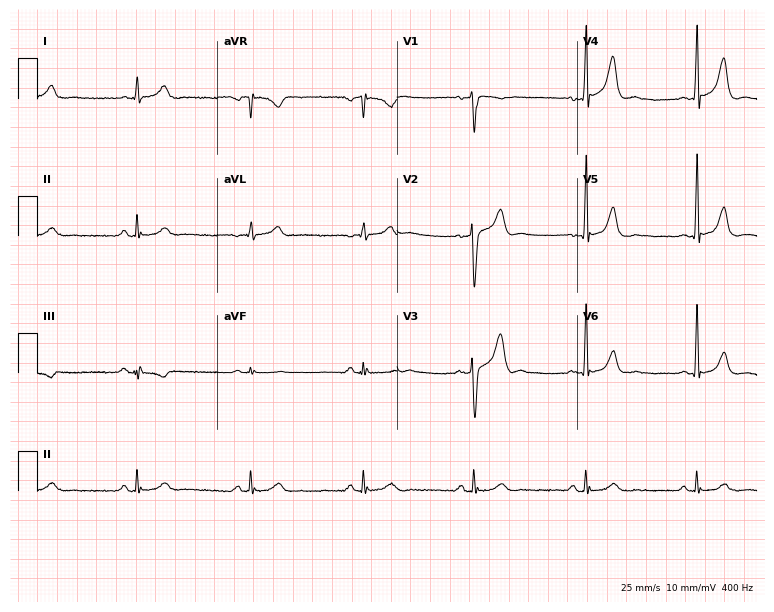
Resting 12-lead electrocardiogram. Patient: a 42-year-old male. None of these six findings is recorded: first-degree AV block, right bundle branch block, left bundle branch block, sinus bradycardia, atrial fibrillation, sinus tachycardia.